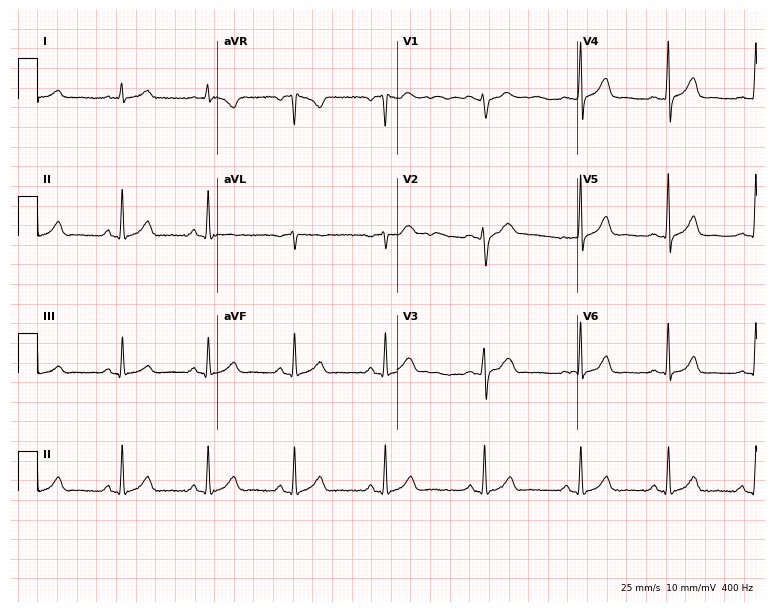
Resting 12-lead electrocardiogram. Patient: a female, 40 years old. Read as a normal ECG.